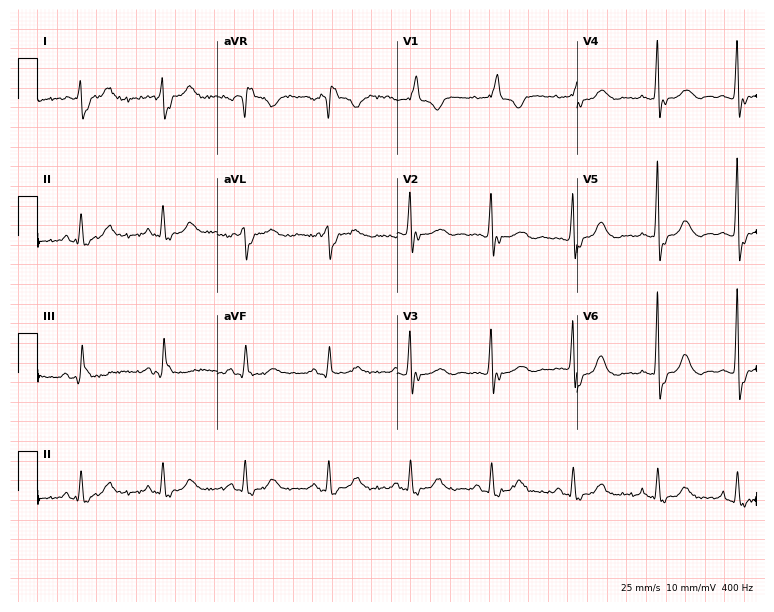
12-lead ECG from a female, 77 years old. Shows right bundle branch block (RBBB).